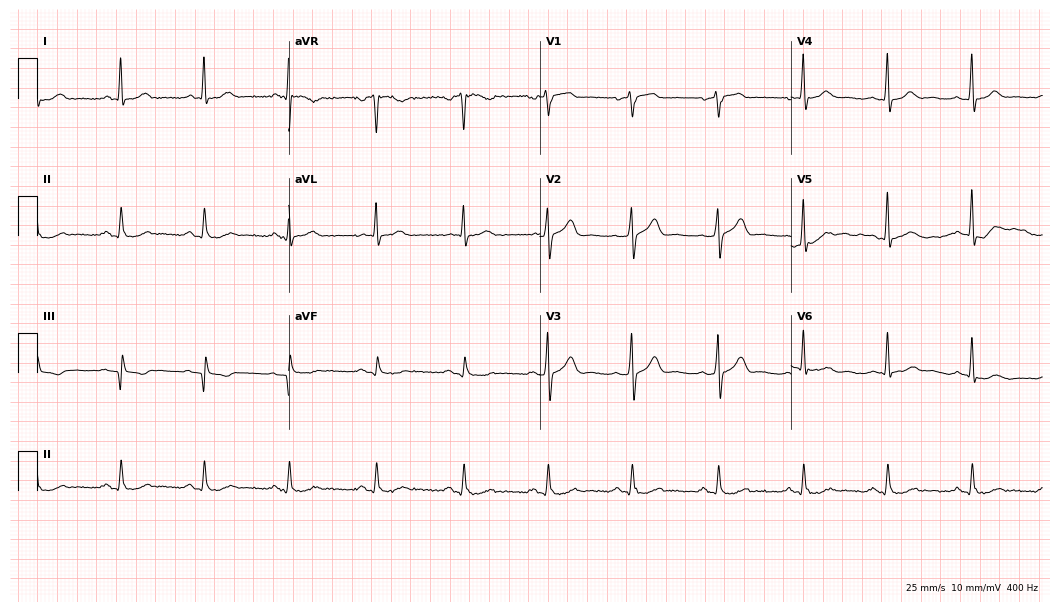
Electrocardiogram (10.2-second recording at 400 Hz), a 62-year-old male. Overall reading on record: normal ECG.